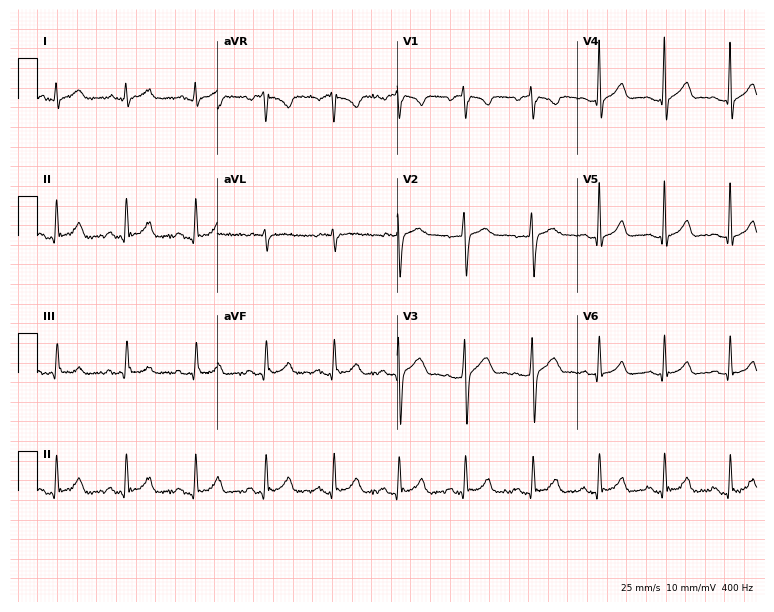
Electrocardiogram (7.3-second recording at 400 Hz), a man, 38 years old. Overall reading on record: normal ECG.